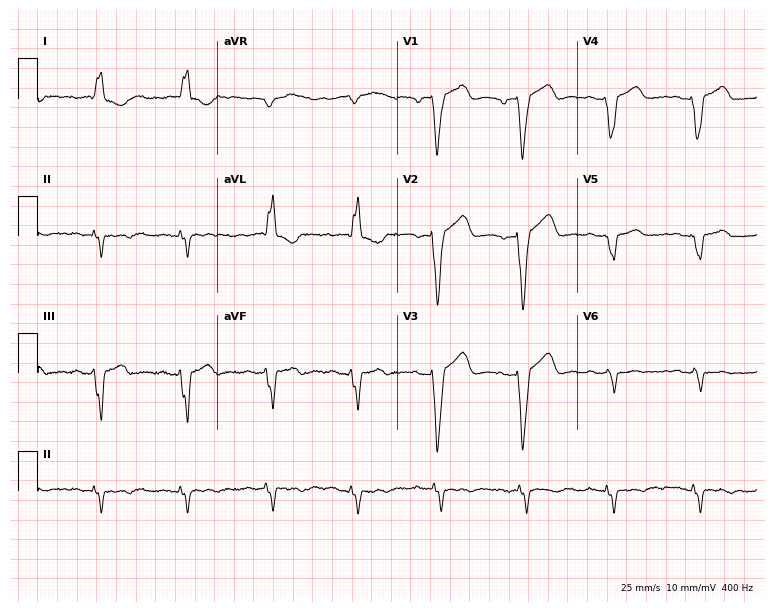
Standard 12-lead ECG recorded from an 87-year-old female (7.3-second recording at 400 Hz). The tracing shows left bundle branch block (LBBB).